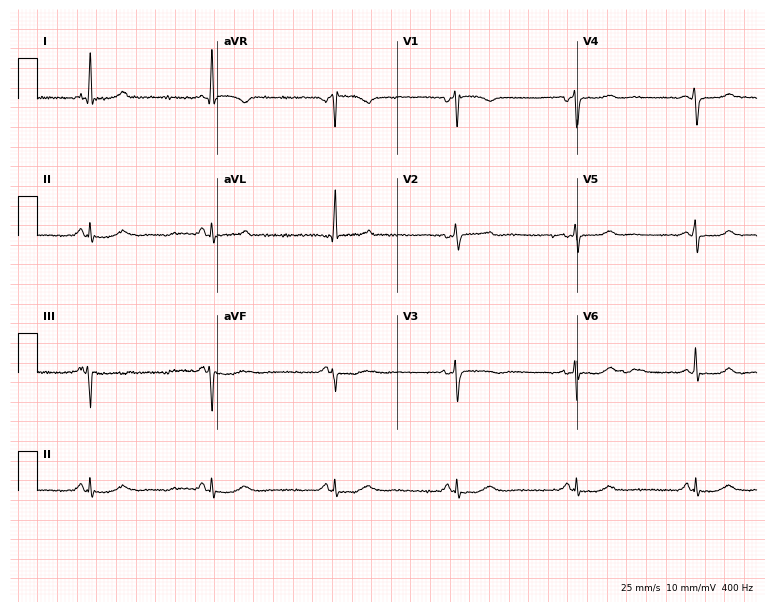
12-lead ECG from a female, 70 years old (7.3-second recording at 400 Hz). Shows sinus bradycardia (a sinus rate of 50 beats per minute or less).